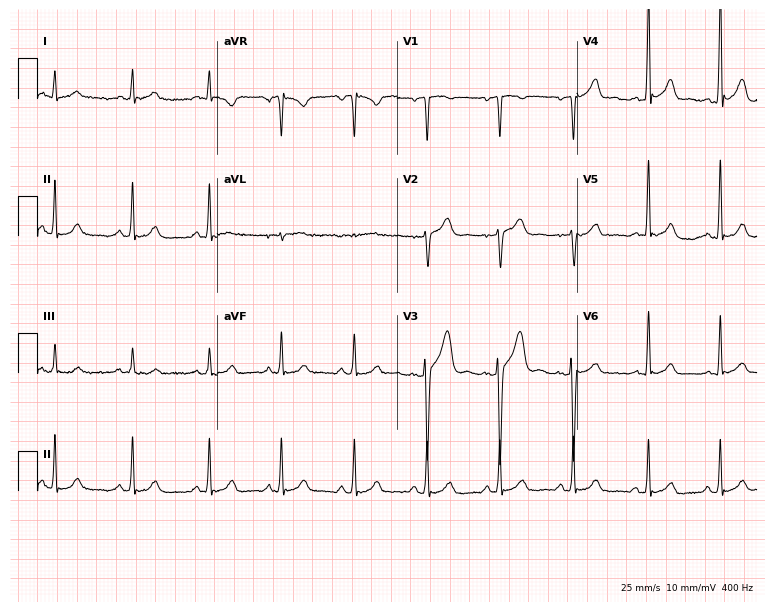
Resting 12-lead electrocardiogram. Patient: a 27-year-old man. Read as a normal ECG.